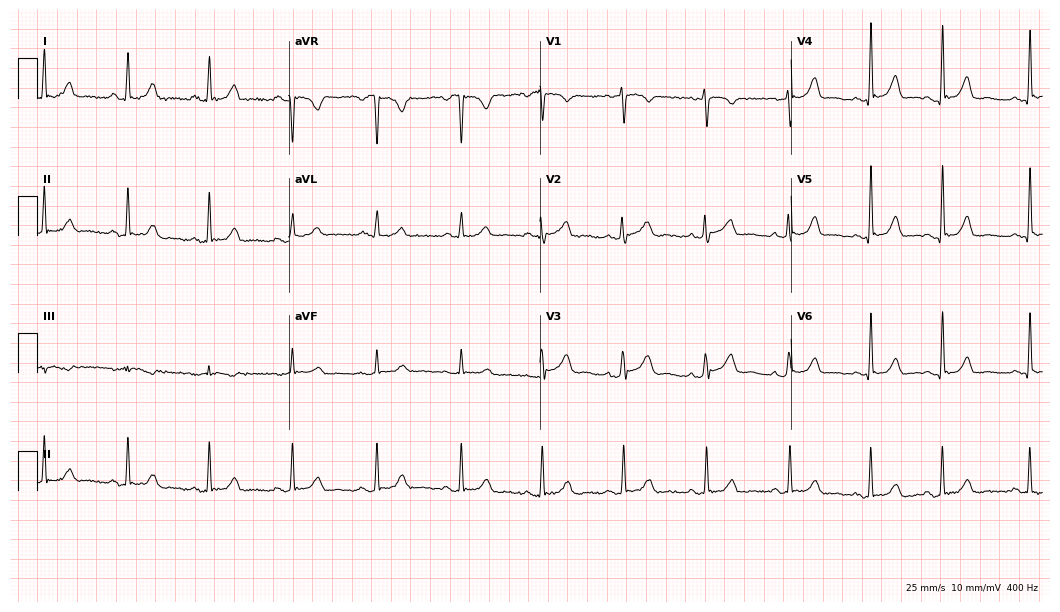
12-lead ECG from a female patient, 26 years old. Recorded interpretation: within normal limits.